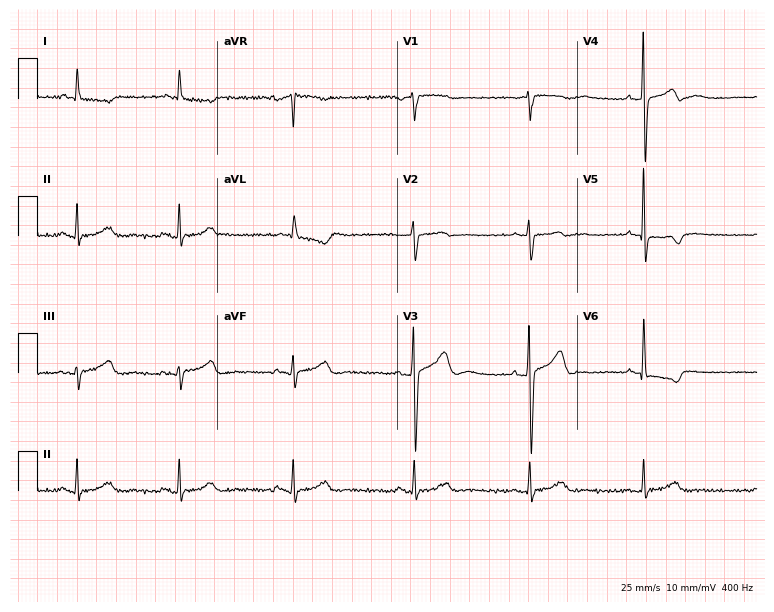
Resting 12-lead electrocardiogram. Patient: a male, 77 years old. None of these six findings is recorded: first-degree AV block, right bundle branch block, left bundle branch block, sinus bradycardia, atrial fibrillation, sinus tachycardia.